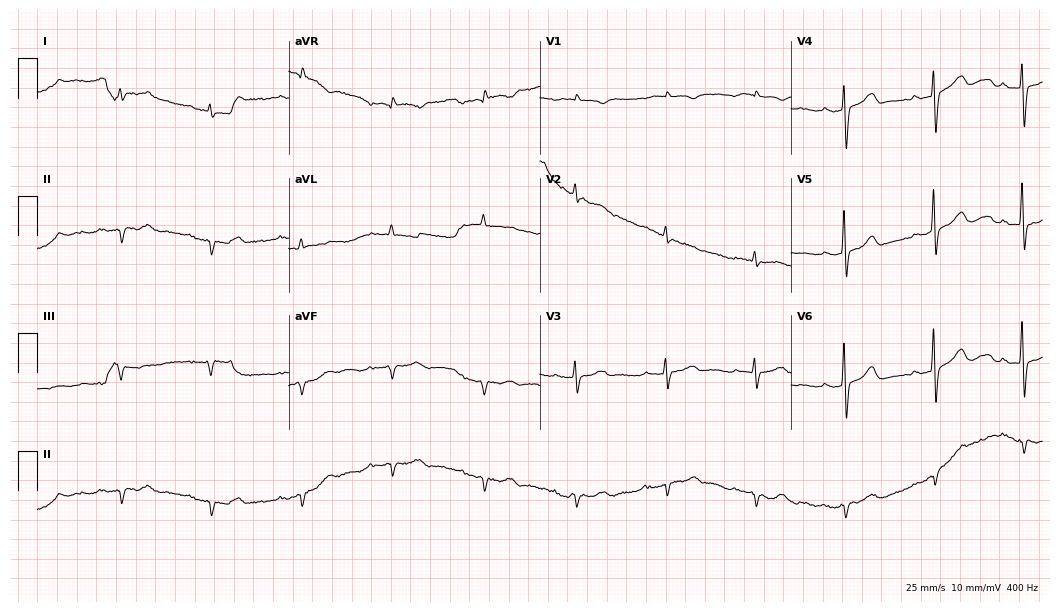
12-lead ECG (10.2-second recording at 400 Hz) from a man, 69 years old. Findings include first-degree AV block.